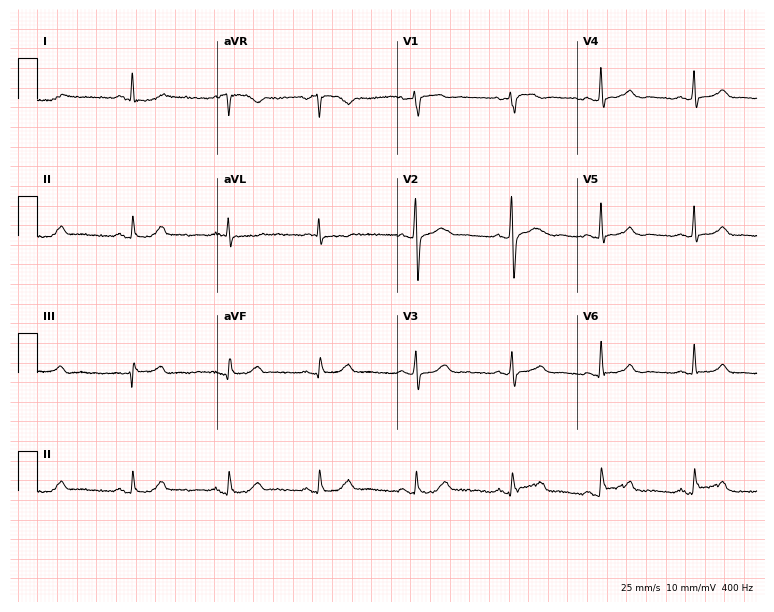
Standard 12-lead ECG recorded from a female patient, 52 years old (7.3-second recording at 400 Hz). None of these six findings is recorded: first-degree AV block, right bundle branch block (RBBB), left bundle branch block (LBBB), sinus bradycardia, atrial fibrillation (AF), sinus tachycardia.